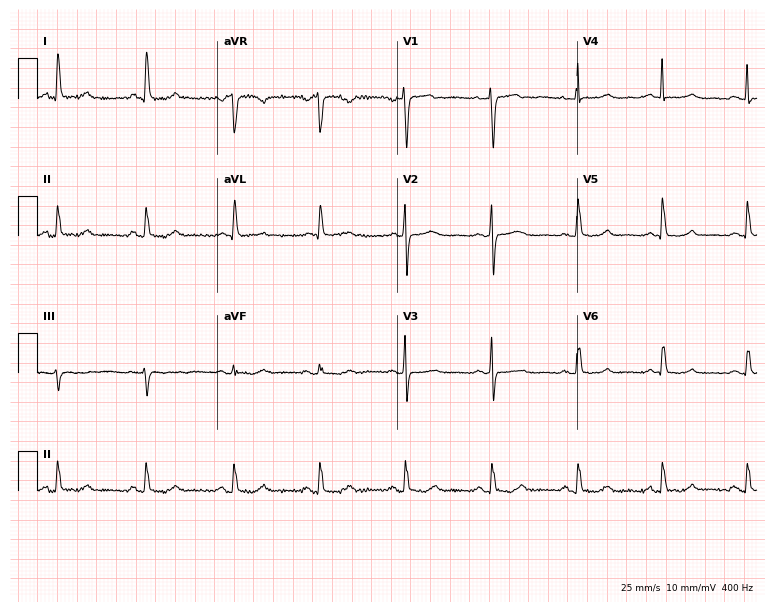
Electrocardiogram (7.3-second recording at 400 Hz), a 70-year-old woman. Of the six screened findings (first-degree AV block, right bundle branch block (RBBB), left bundle branch block (LBBB), sinus bradycardia, atrial fibrillation (AF), sinus tachycardia), none is recorded.